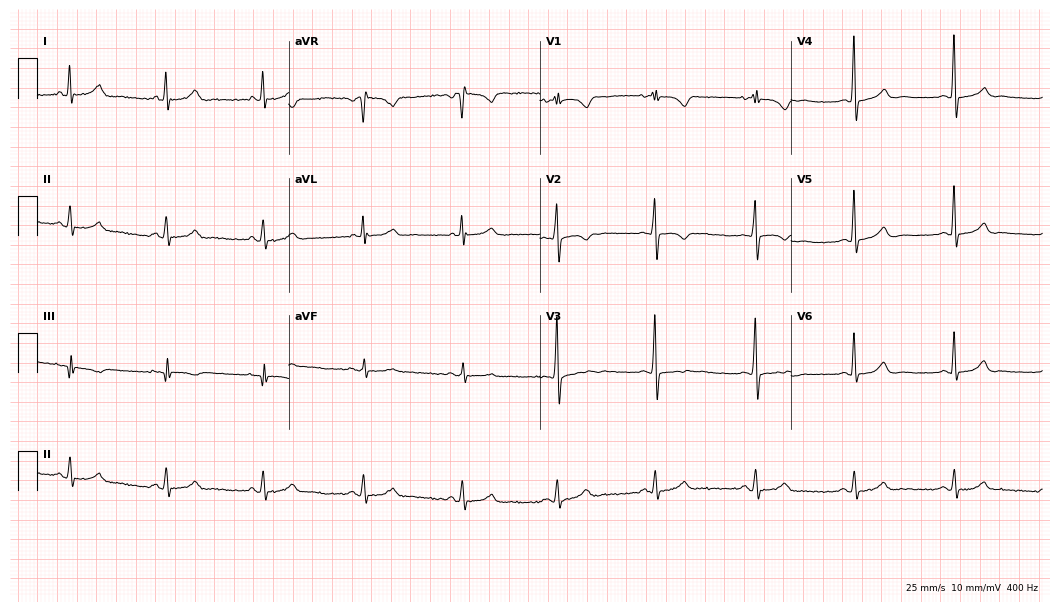
Resting 12-lead electrocardiogram. Patient: a 65-year-old woman. Read as a normal ECG.